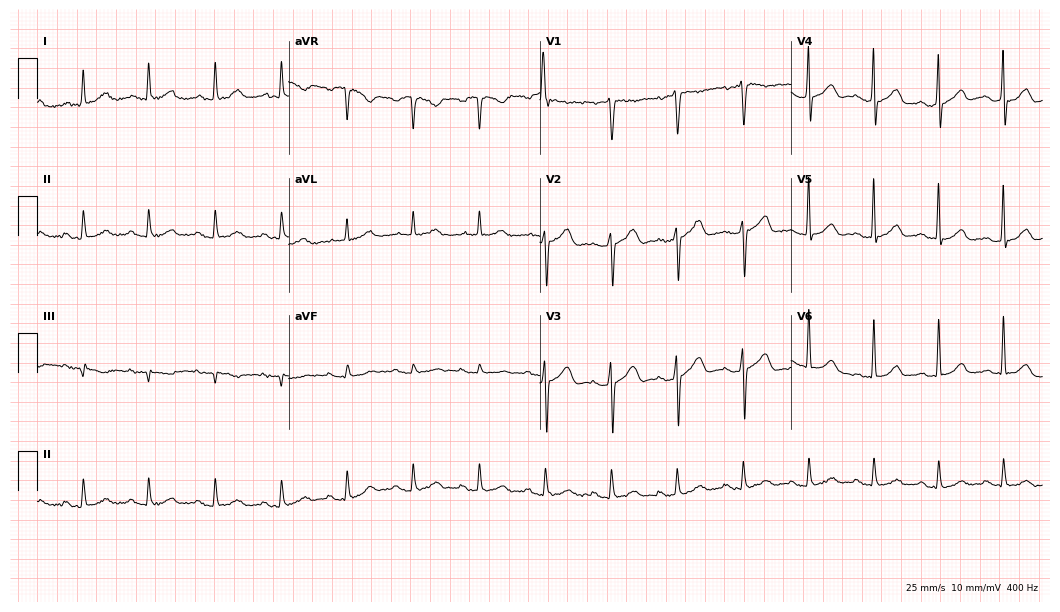
Electrocardiogram (10.2-second recording at 400 Hz), a 49-year-old male patient. Overall reading on record: normal ECG.